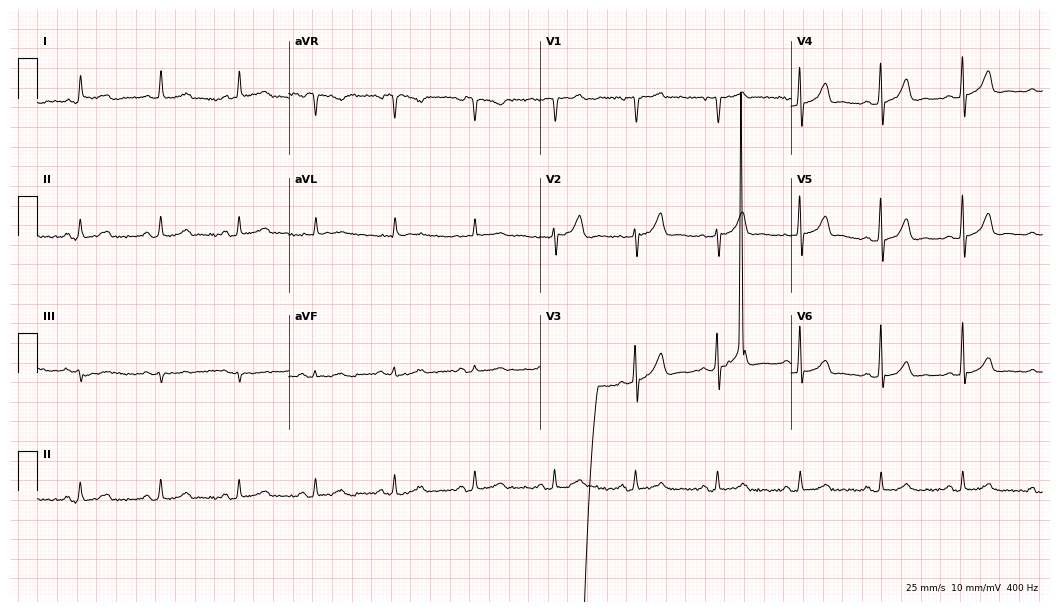
ECG — a female, 57 years old. Labelled as a normal ECG.